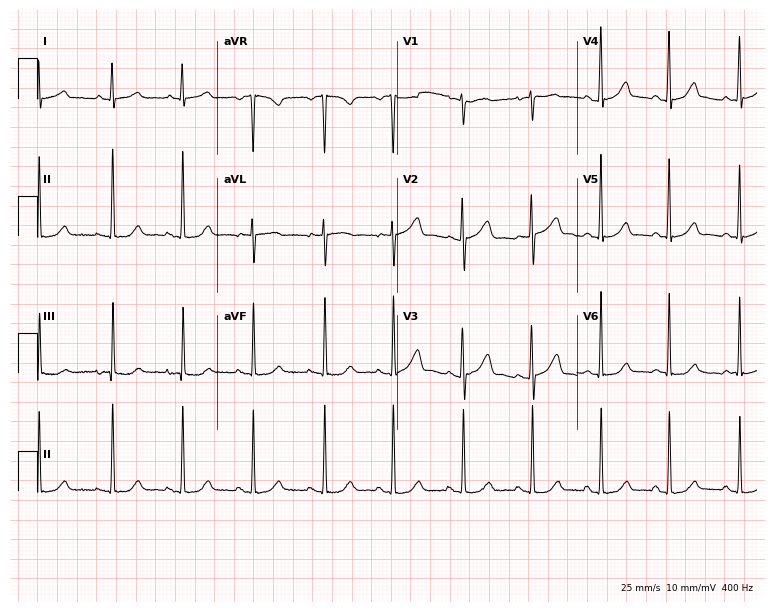
ECG — a 49-year-old female patient. Labelled as a normal ECG.